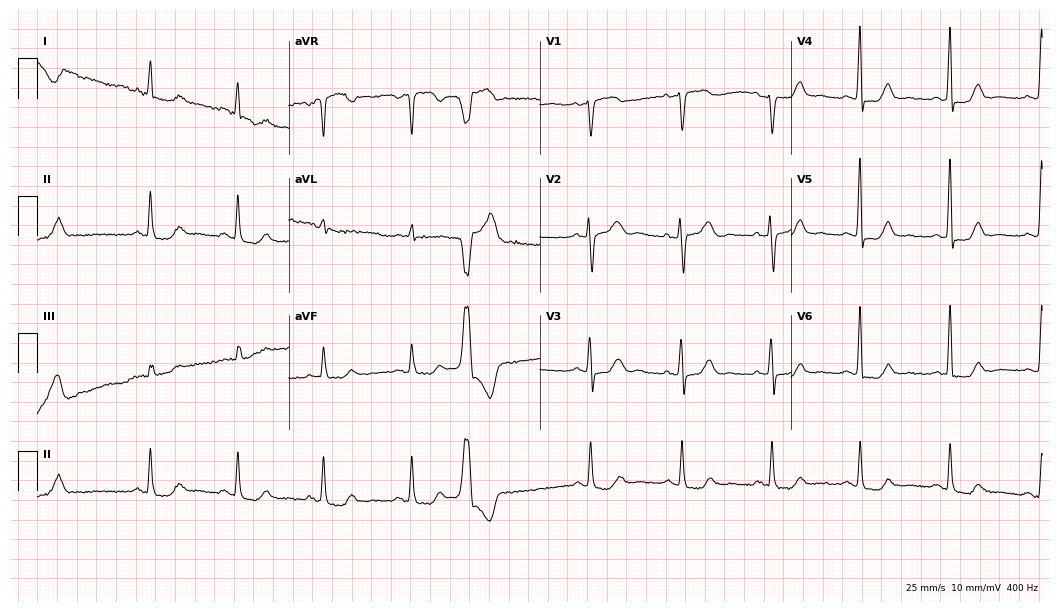
12-lead ECG from a female, 57 years old. No first-degree AV block, right bundle branch block, left bundle branch block, sinus bradycardia, atrial fibrillation or sinus tachycardia recorded for this tracing. Findings outside these six are not listed.